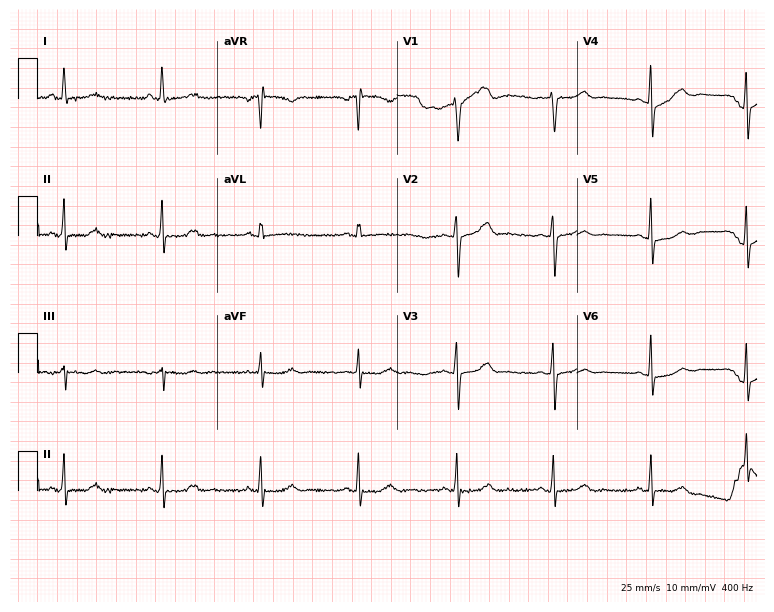
12-lead ECG (7.3-second recording at 400 Hz) from a female patient, 52 years old. Screened for six findings — first-degree AV block, right bundle branch block (RBBB), left bundle branch block (LBBB), sinus bradycardia, atrial fibrillation (AF), sinus tachycardia — none is recorded.